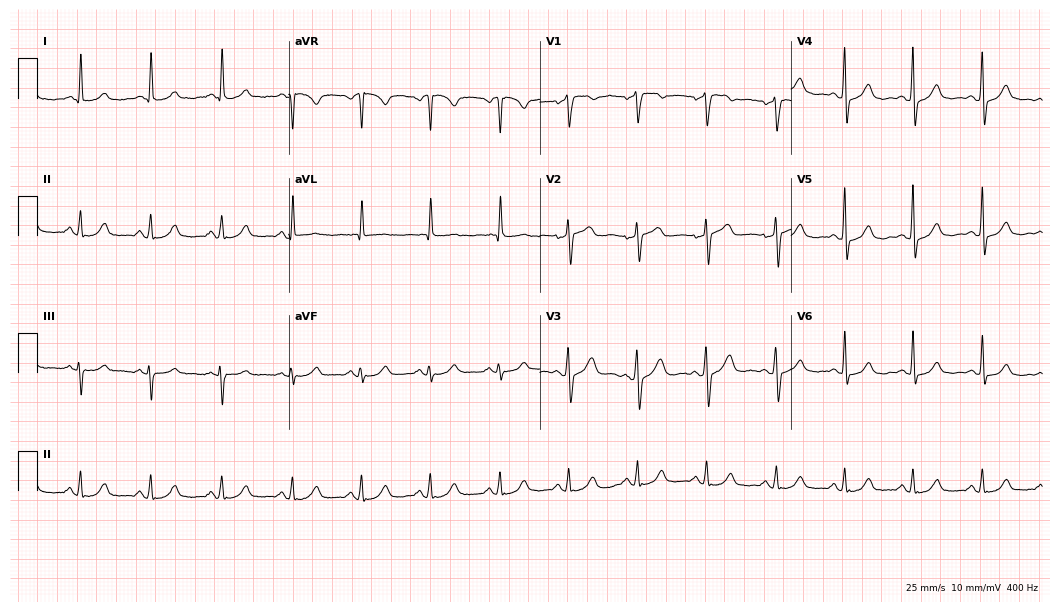
Electrocardiogram, a female, 67 years old. Of the six screened findings (first-degree AV block, right bundle branch block (RBBB), left bundle branch block (LBBB), sinus bradycardia, atrial fibrillation (AF), sinus tachycardia), none is recorded. Findings outside these six are not listed.